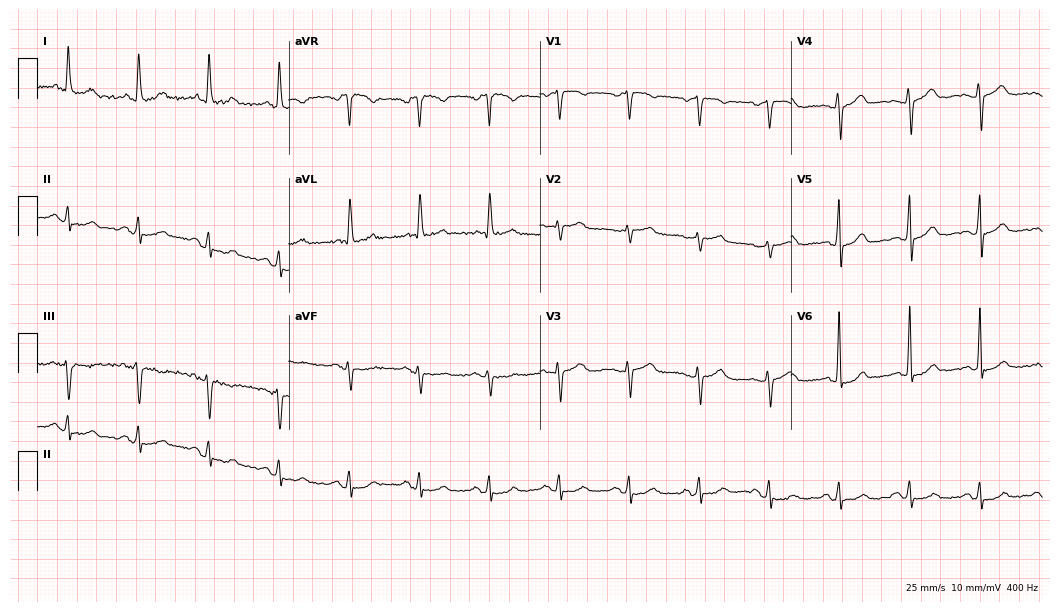
12-lead ECG (10.2-second recording at 400 Hz) from a woman, 63 years old. Labelled as a normal ECG.